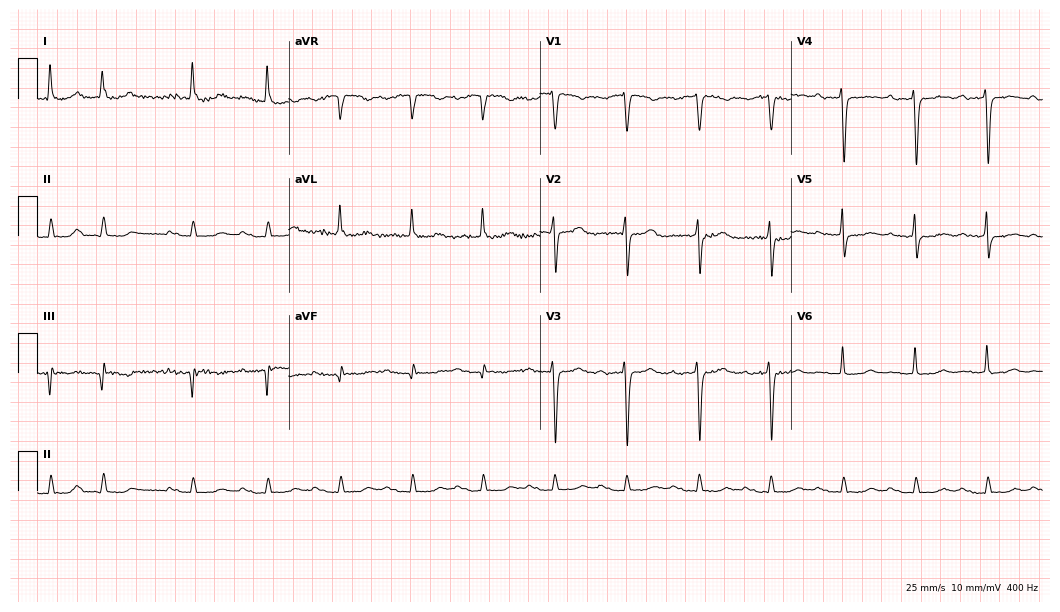
ECG (10.2-second recording at 400 Hz) — a 74-year-old woman. Findings include first-degree AV block.